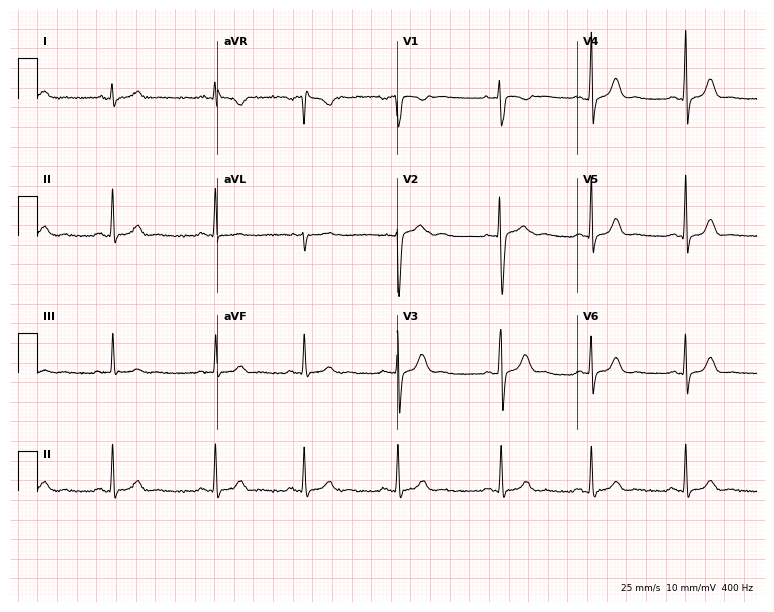
Electrocardiogram, a woman, 26 years old. Of the six screened findings (first-degree AV block, right bundle branch block (RBBB), left bundle branch block (LBBB), sinus bradycardia, atrial fibrillation (AF), sinus tachycardia), none is recorded.